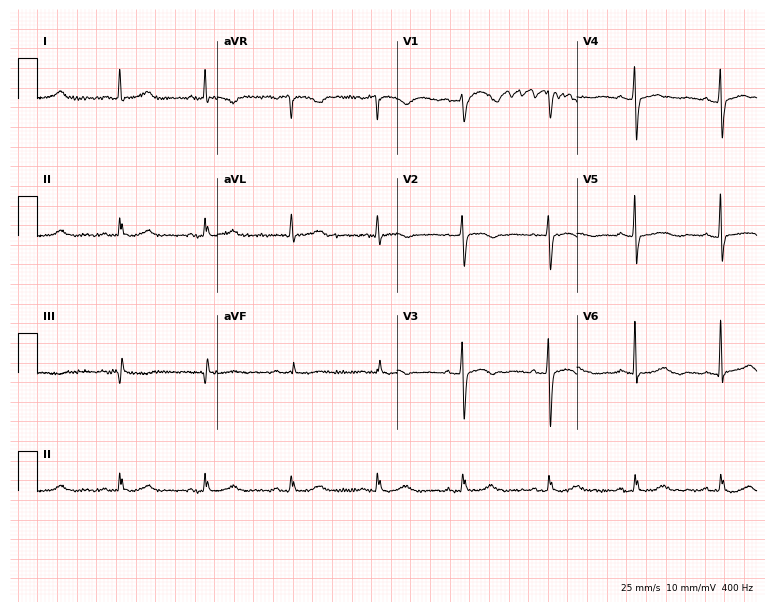
Standard 12-lead ECG recorded from a female, 78 years old. Read as a normal ECG.